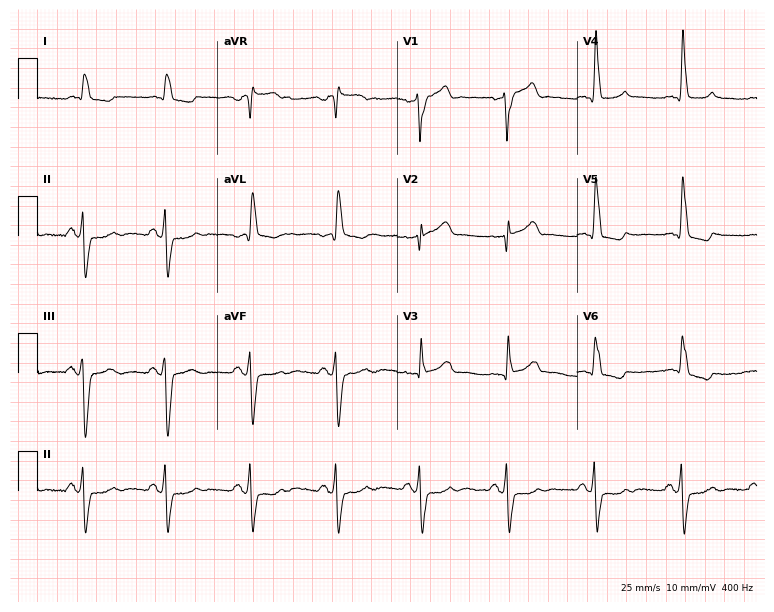
Standard 12-lead ECG recorded from a man, 76 years old. None of these six findings is recorded: first-degree AV block, right bundle branch block, left bundle branch block, sinus bradycardia, atrial fibrillation, sinus tachycardia. Other findings, if any, are not listed.